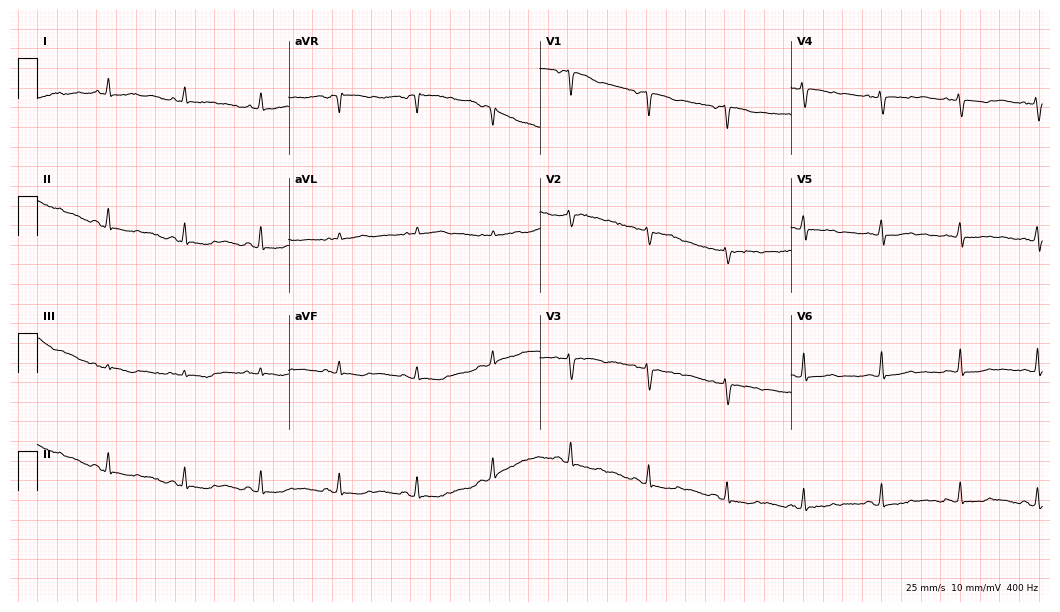
12-lead ECG from a 52-year-old woman (10.2-second recording at 400 Hz). No first-degree AV block, right bundle branch block (RBBB), left bundle branch block (LBBB), sinus bradycardia, atrial fibrillation (AF) or sinus tachycardia recorded for this tracing. Findings outside these six are not listed.